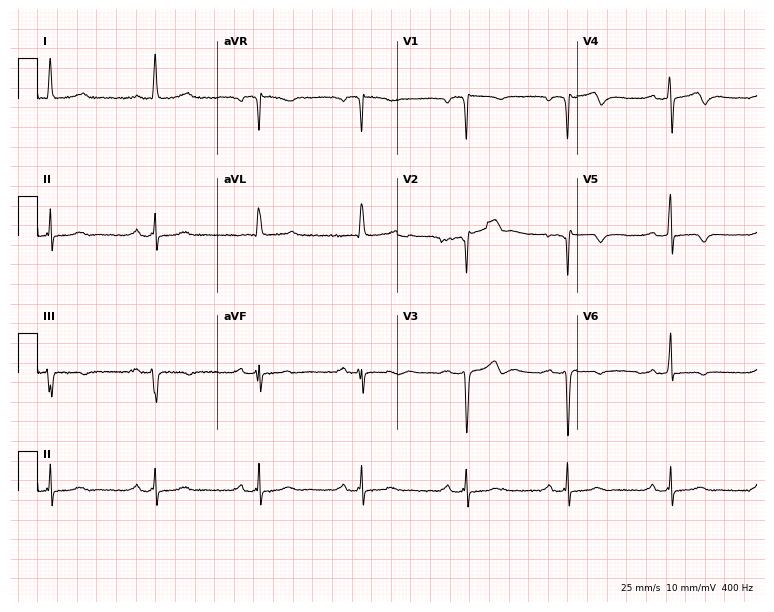
12-lead ECG (7.3-second recording at 400 Hz) from a female patient, 84 years old. Screened for six findings — first-degree AV block, right bundle branch block (RBBB), left bundle branch block (LBBB), sinus bradycardia, atrial fibrillation (AF), sinus tachycardia — none is recorded. Only these six findings were labelled.